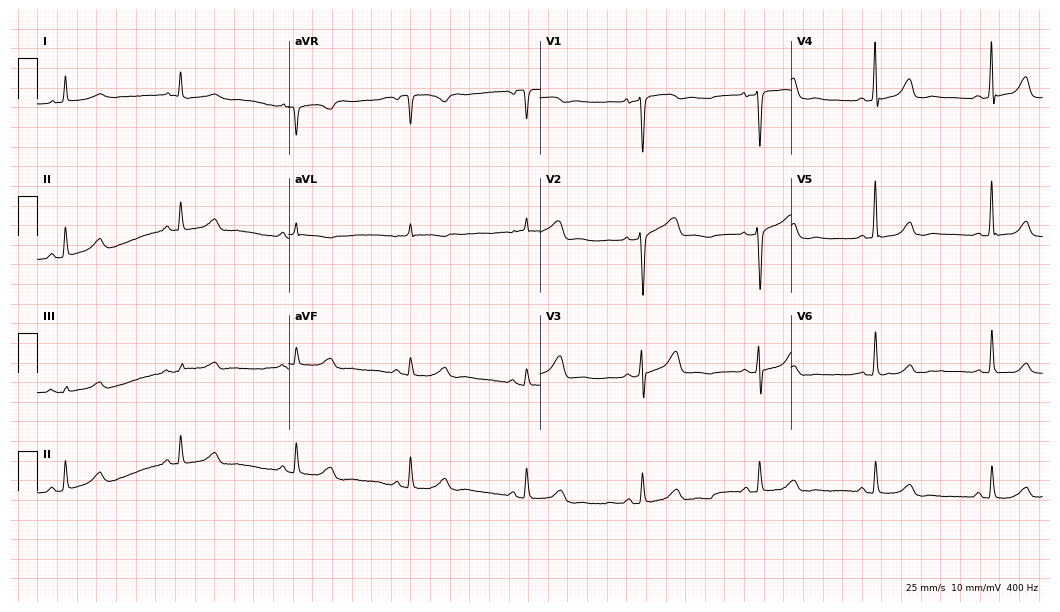
Electrocardiogram, a 57-year-old woman. Overall reading on record: normal ECG.